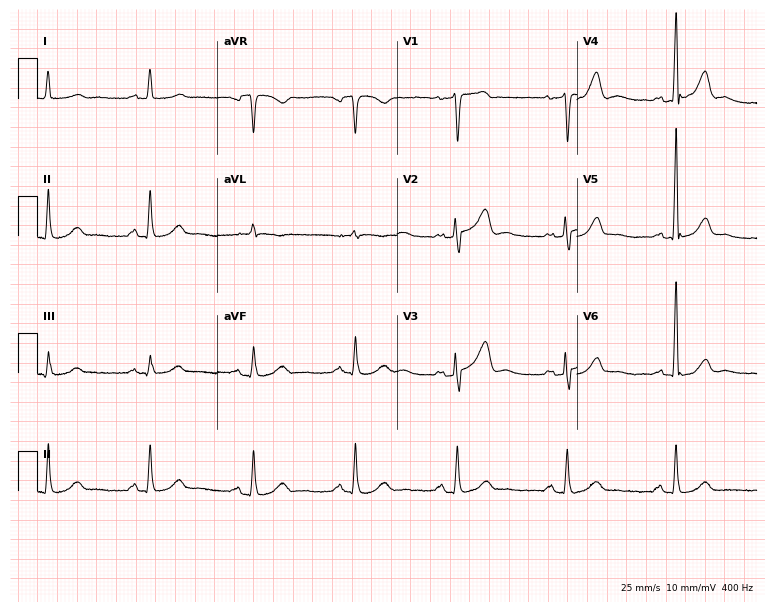
ECG — a 53-year-old female patient. Screened for six findings — first-degree AV block, right bundle branch block (RBBB), left bundle branch block (LBBB), sinus bradycardia, atrial fibrillation (AF), sinus tachycardia — none is recorded.